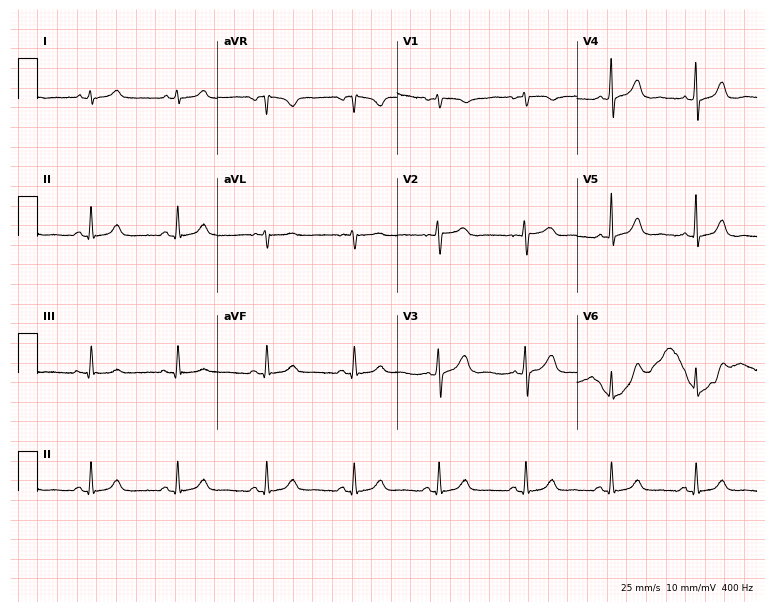
12-lead ECG (7.3-second recording at 400 Hz) from a 46-year-old female. Labelled as a normal ECG.